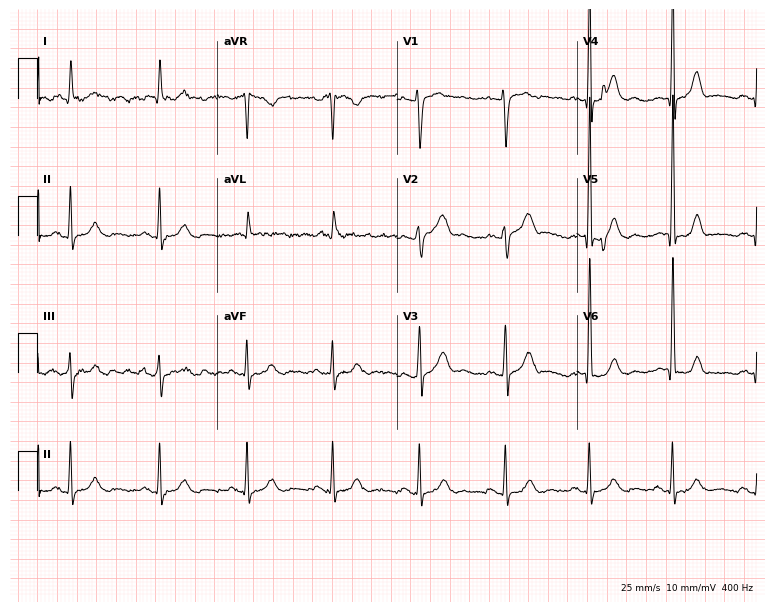
ECG (7.3-second recording at 400 Hz) — a 66-year-old male. Screened for six findings — first-degree AV block, right bundle branch block, left bundle branch block, sinus bradycardia, atrial fibrillation, sinus tachycardia — none is recorded. Only these six findings were labelled.